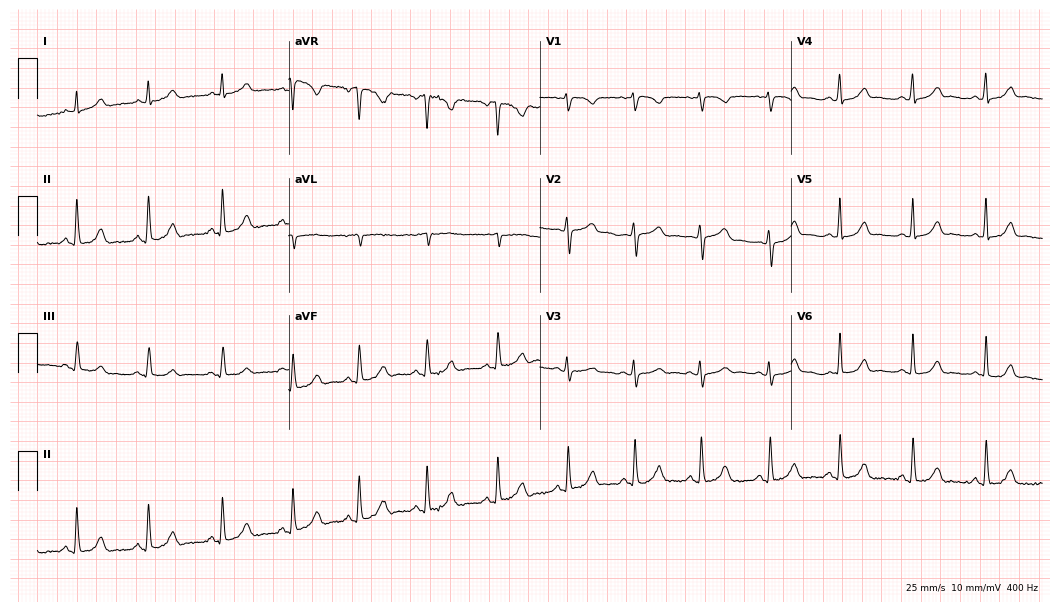
12-lead ECG from a female, 29 years old. Labelled as a normal ECG.